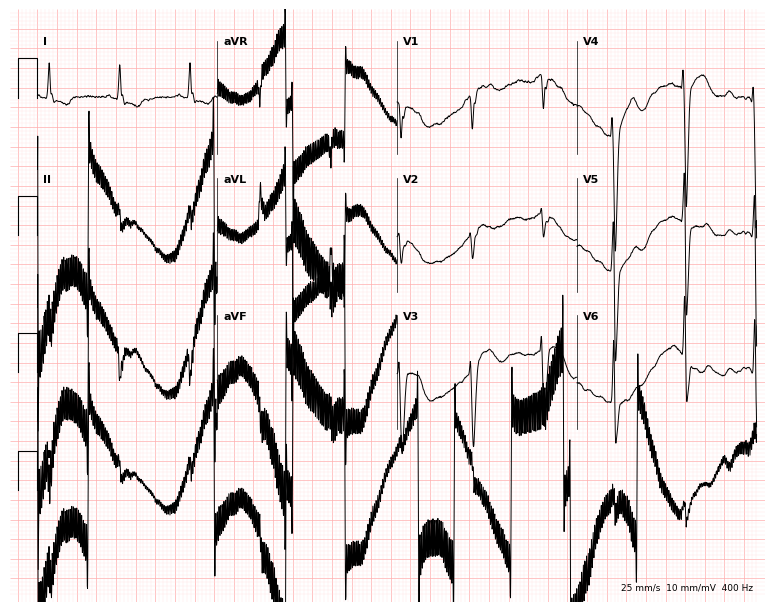
Electrocardiogram, a male patient, 67 years old. Of the six screened findings (first-degree AV block, right bundle branch block, left bundle branch block, sinus bradycardia, atrial fibrillation, sinus tachycardia), none is recorded. Only these six findings were labelled.